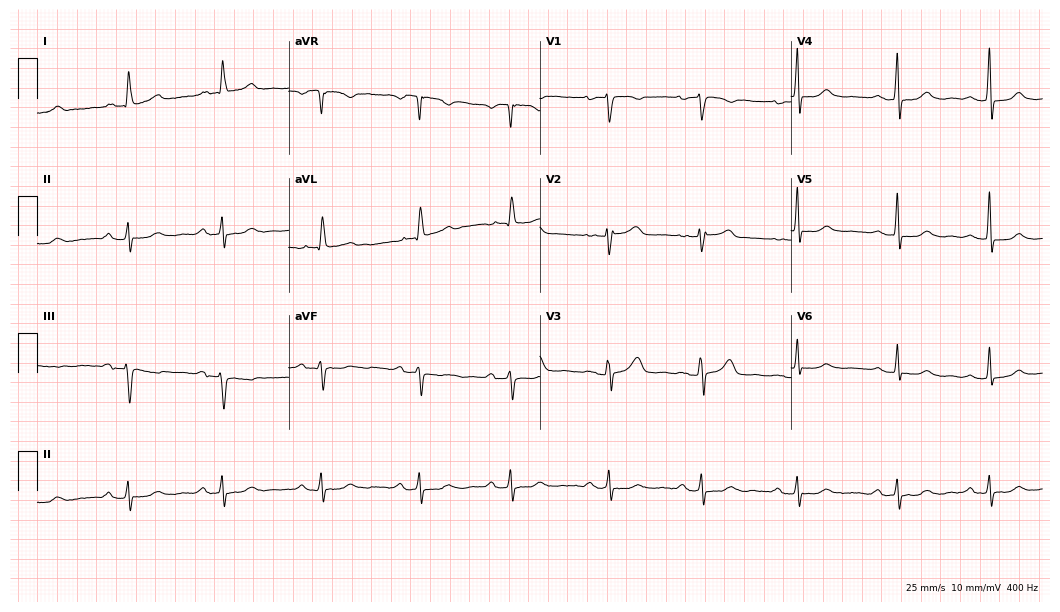
Standard 12-lead ECG recorded from a female patient, 71 years old (10.2-second recording at 400 Hz). The tracing shows first-degree AV block.